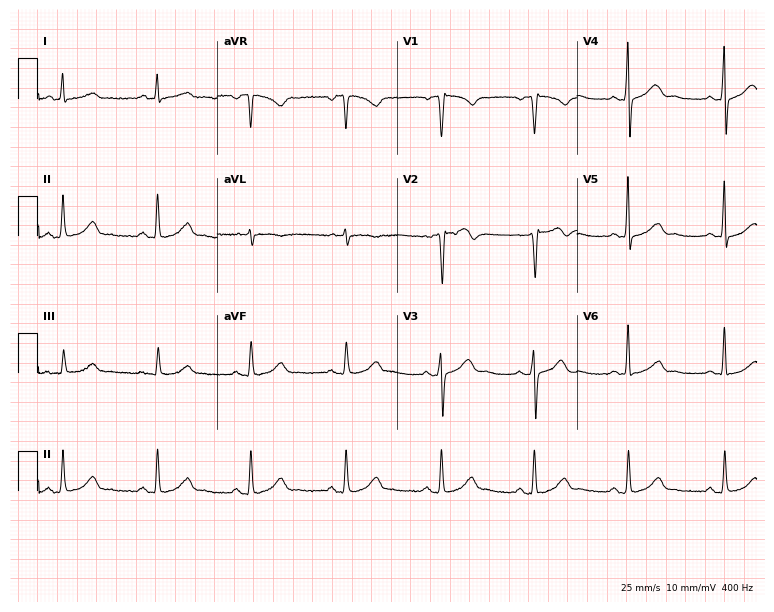
ECG — a male, 59 years old. Labelled as a normal ECG.